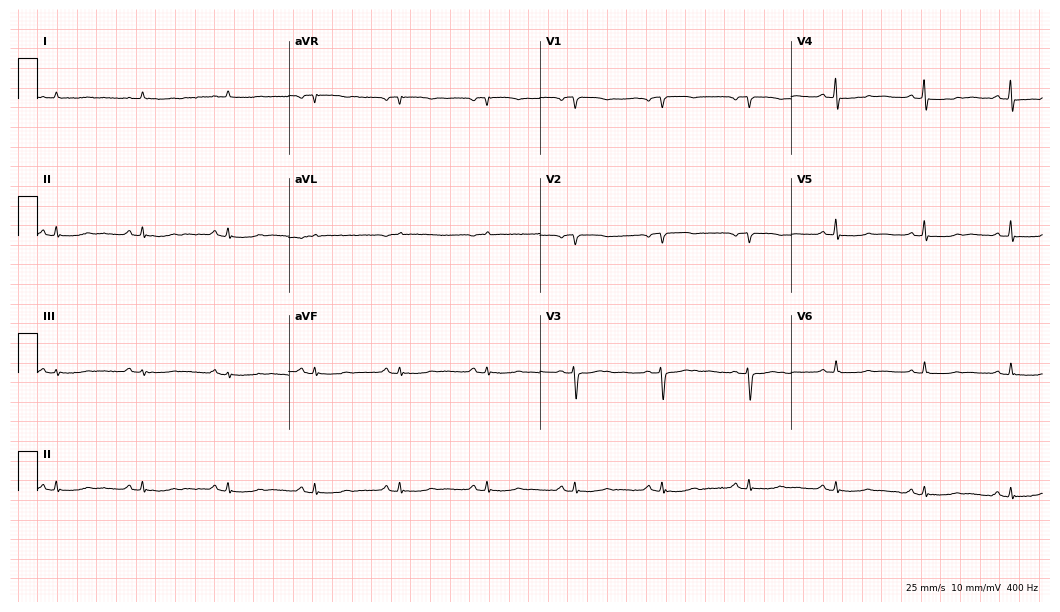
Resting 12-lead electrocardiogram. Patient: a female, 81 years old. None of these six findings is recorded: first-degree AV block, right bundle branch block, left bundle branch block, sinus bradycardia, atrial fibrillation, sinus tachycardia. Only these six findings were labelled.